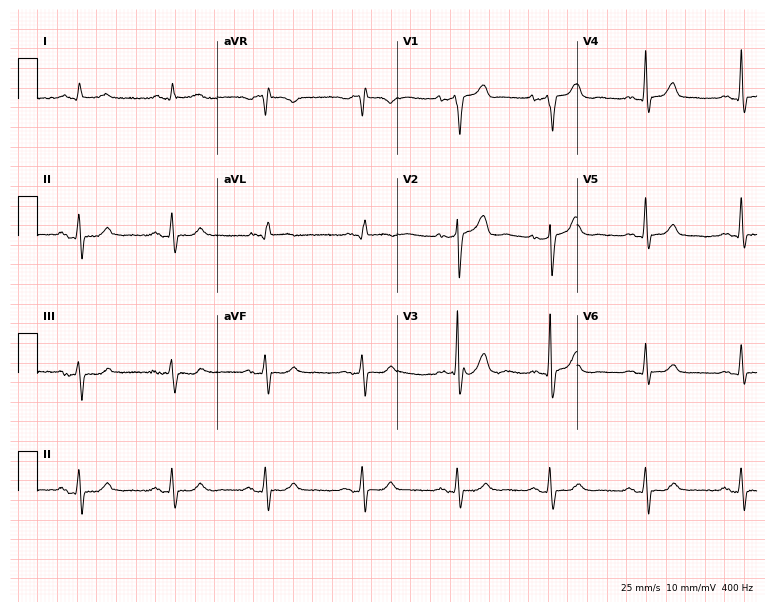
12-lead ECG (7.3-second recording at 400 Hz) from a male patient, 69 years old. Screened for six findings — first-degree AV block, right bundle branch block, left bundle branch block, sinus bradycardia, atrial fibrillation, sinus tachycardia — none is recorded.